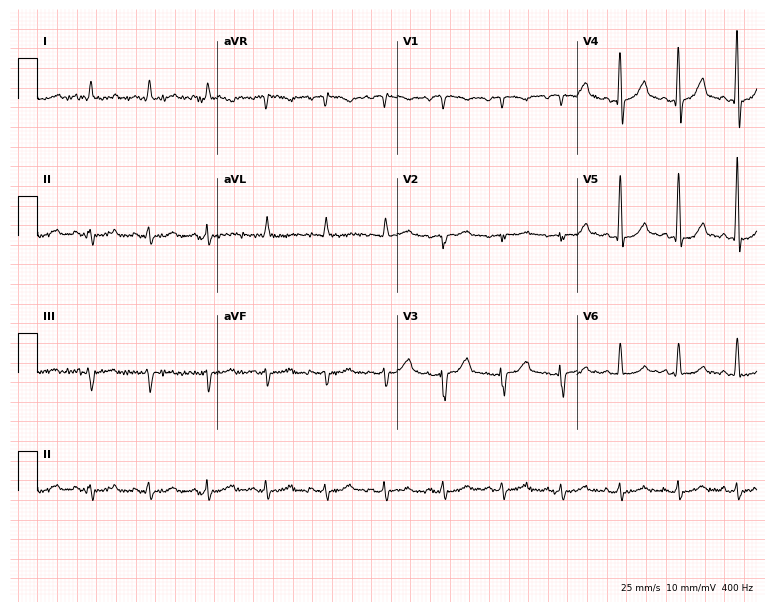
12-lead ECG from a man, 72 years old. Screened for six findings — first-degree AV block, right bundle branch block, left bundle branch block, sinus bradycardia, atrial fibrillation, sinus tachycardia — none is recorded.